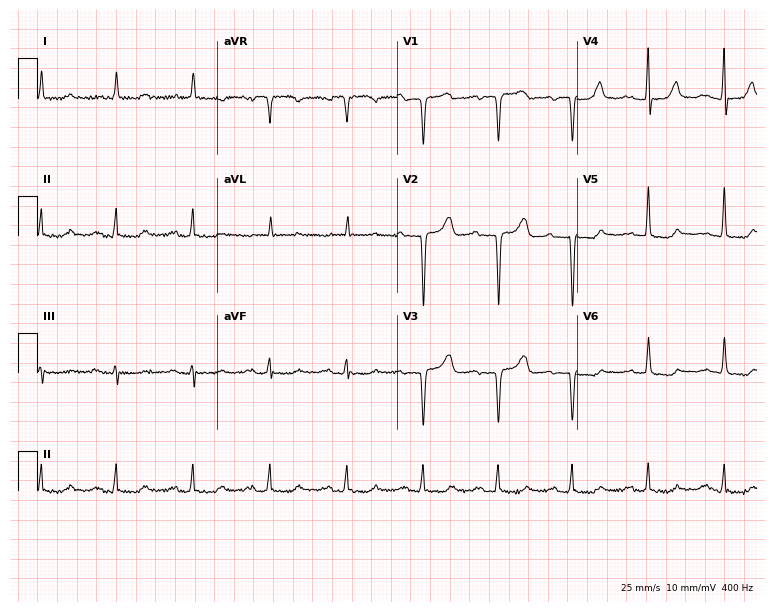
12-lead ECG from a 77-year-old woman (7.3-second recording at 400 Hz). Shows first-degree AV block.